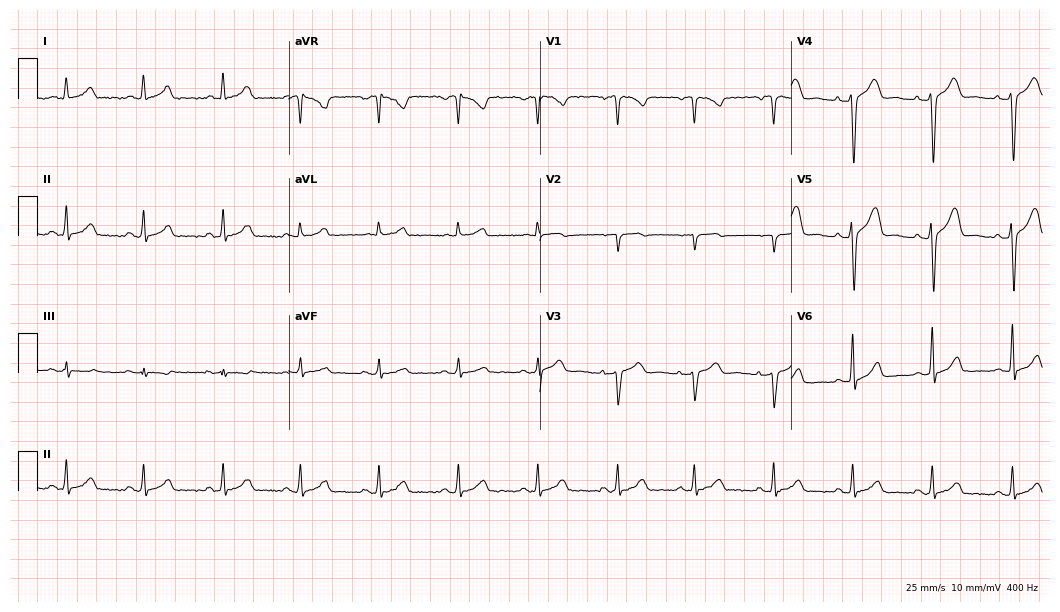
12-lead ECG (10.2-second recording at 400 Hz) from a female, 37 years old. Screened for six findings — first-degree AV block, right bundle branch block, left bundle branch block, sinus bradycardia, atrial fibrillation, sinus tachycardia — none is recorded. Other findings, if any, are not listed.